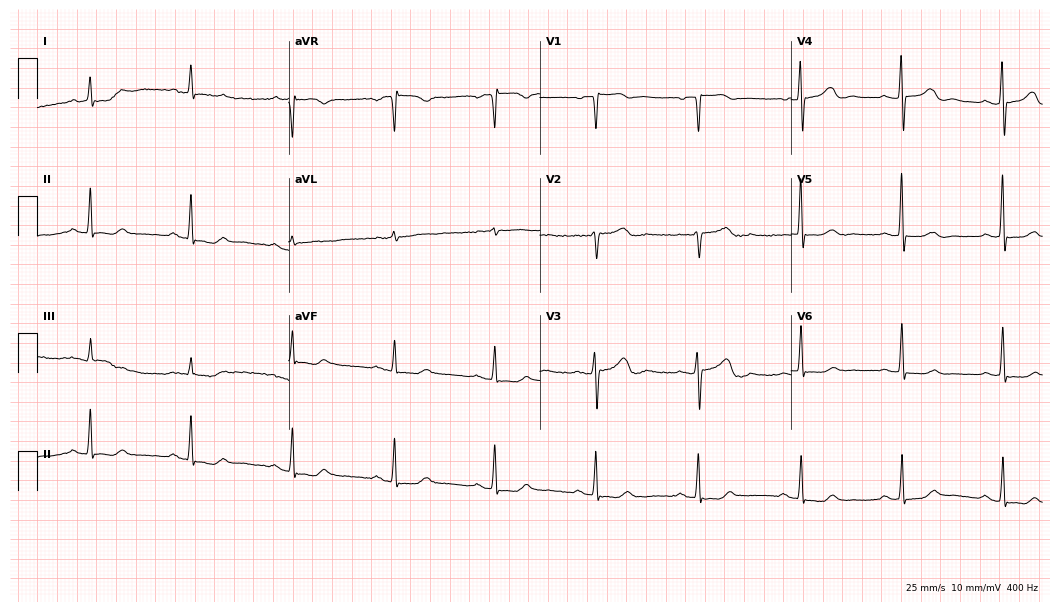
Standard 12-lead ECG recorded from an 80-year-old female (10.2-second recording at 400 Hz). None of these six findings is recorded: first-degree AV block, right bundle branch block, left bundle branch block, sinus bradycardia, atrial fibrillation, sinus tachycardia. Only these six findings were labelled.